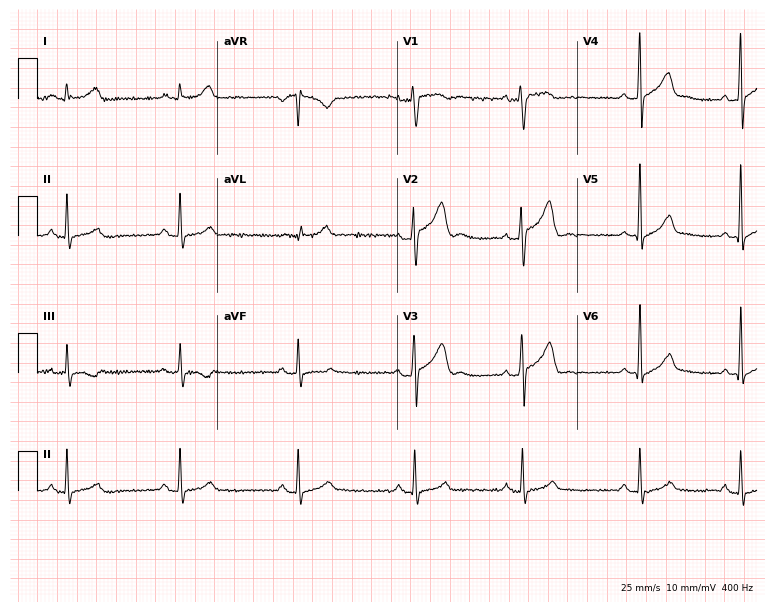
Electrocardiogram (7.3-second recording at 400 Hz), a 31-year-old male patient. Of the six screened findings (first-degree AV block, right bundle branch block, left bundle branch block, sinus bradycardia, atrial fibrillation, sinus tachycardia), none is recorded. Findings outside these six are not listed.